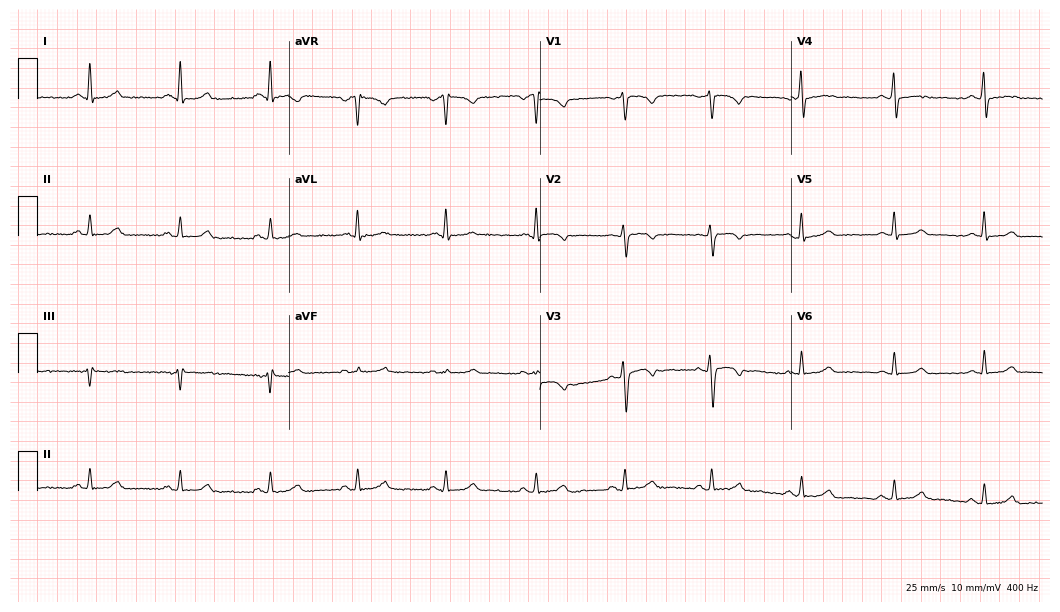
Resting 12-lead electrocardiogram (10.2-second recording at 400 Hz). Patient: a woman, 52 years old. None of these six findings is recorded: first-degree AV block, right bundle branch block, left bundle branch block, sinus bradycardia, atrial fibrillation, sinus tachycardia.